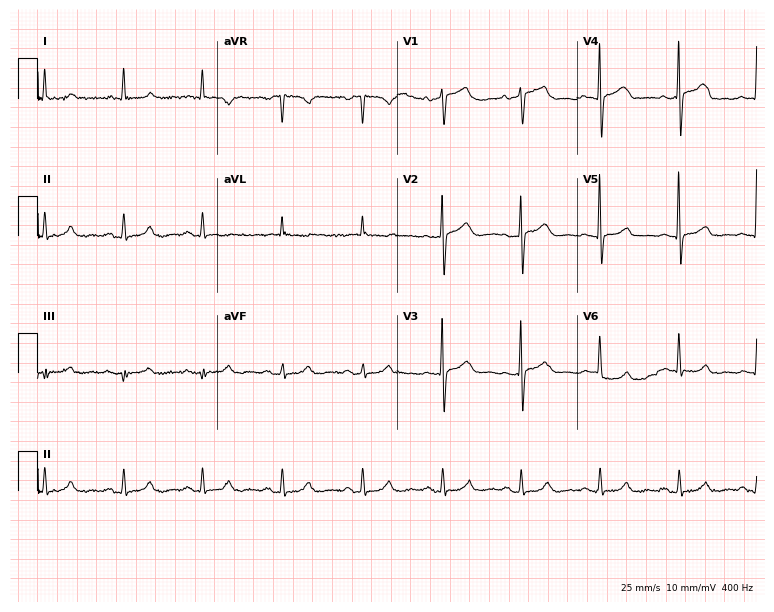
12-lead ECG (7.3-second recording at 400 Hz) from a male, 73 years old. Screened for six findings — first-degree AV block, right bundle branch block, left bundle branch block, sinus bradycardia, atrial fibrillation, sinus tachycardia — none is recorded.